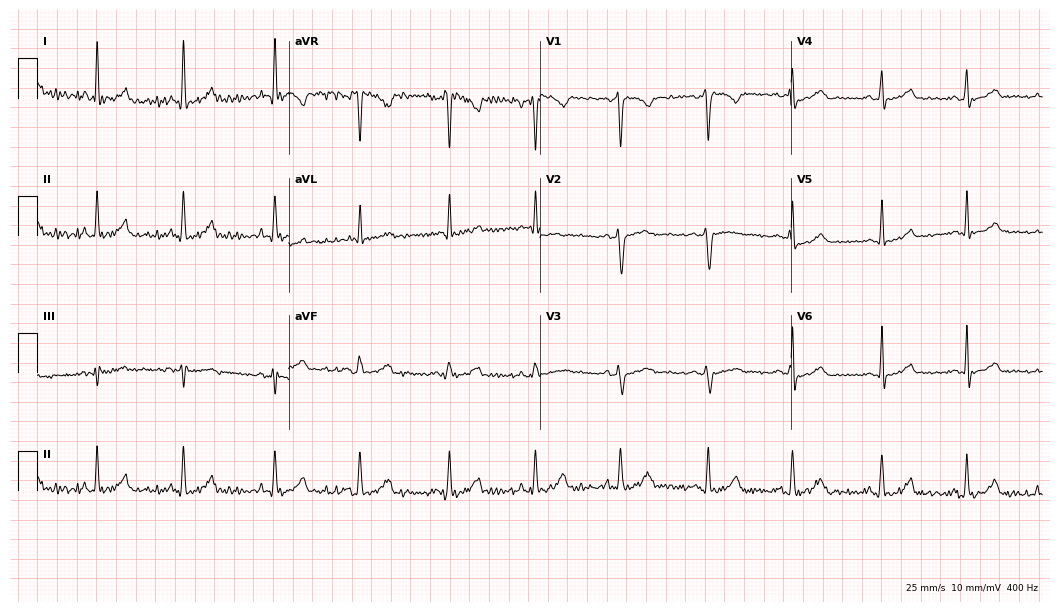
Standard 12-lead ECG recorded from a female, 31 years old (10.2-second recording at 400 Hz). None of these six findings is recorded: first-degree AV block, right bundle branch block, left bundle branch block, sinus bradycardia, atrial fibrillation, sinus tachycardia.